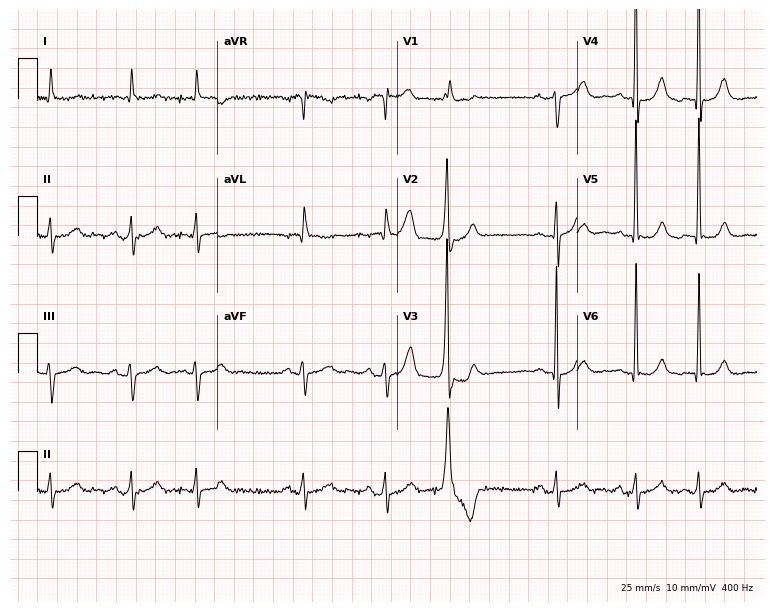
Resting 12-lead electrocardiogram. Patient: a man, 85 years old. None of these six findings is recorded: first-degree AV block, right bundle branch block (RBBB), left bundle branch block (LBBB), sinus bradycardia, atrial fibrillation (AF), sinus tachycardia. Findings outside these six are not listed.